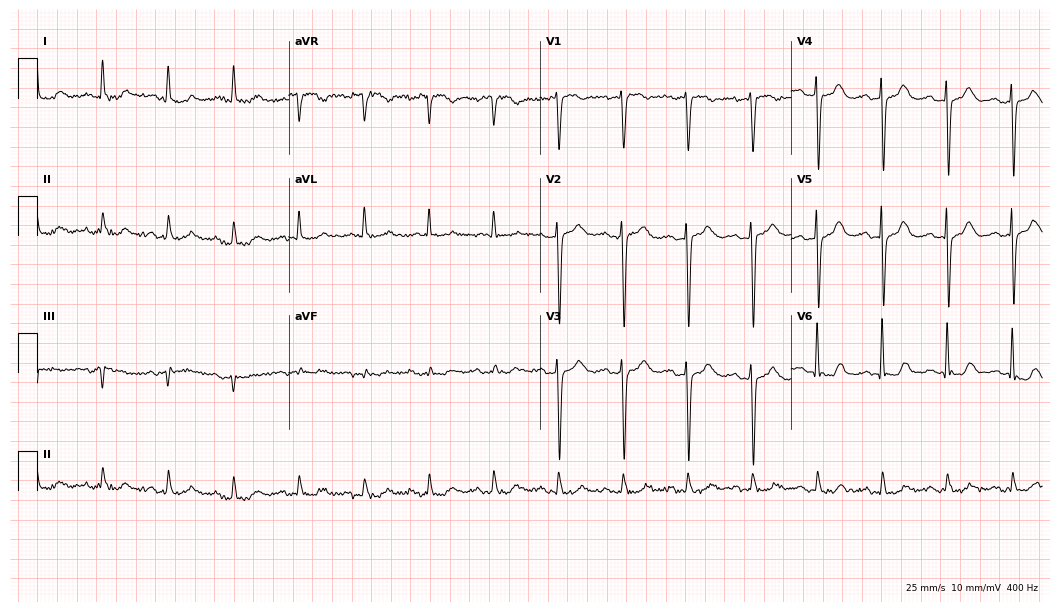
12-lead ECG (10.2-second recording at 400 Hz) from an 80-year-old female patient. Screened for six findings — first-degree AV block, right bundle branch block, left bundle branch block, sinus bradycardia, atrial fibrillation, sinus tachycardia — none is recorded.